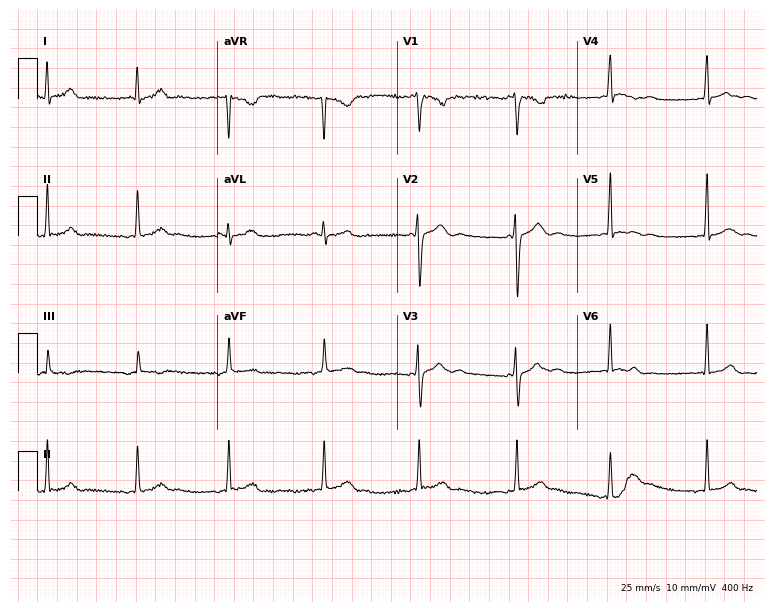
12-lead ECG from a 19-year-old man. No first-degree AV block, right bundle branch block (RBBB), left bundle branch block (LBBB), sinus bradycardia, atrial fibrillation (AF) or sinus tachycardia recorded for this tracing. Other findings, if any, are not listed.